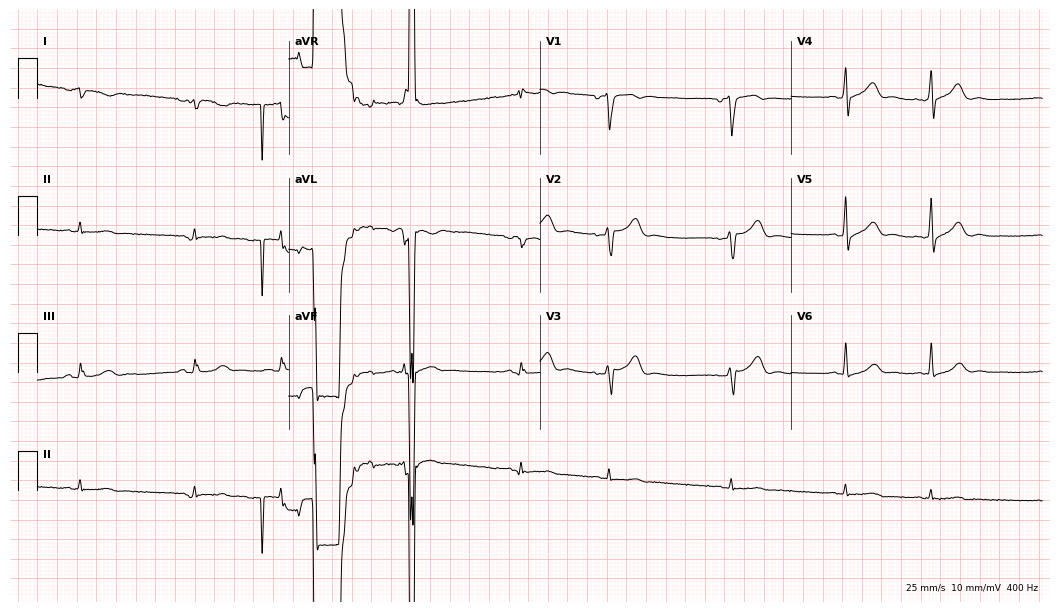
Electrocardiogram (10.2-second recording at 400 Hz), a male, 78 years old. Of the six screened findings (first-degree AV block, right bundle branch block, left bundle branch block, sinus bradycardia, atrial fibrillation, sinus tachycardia), none is recorded.